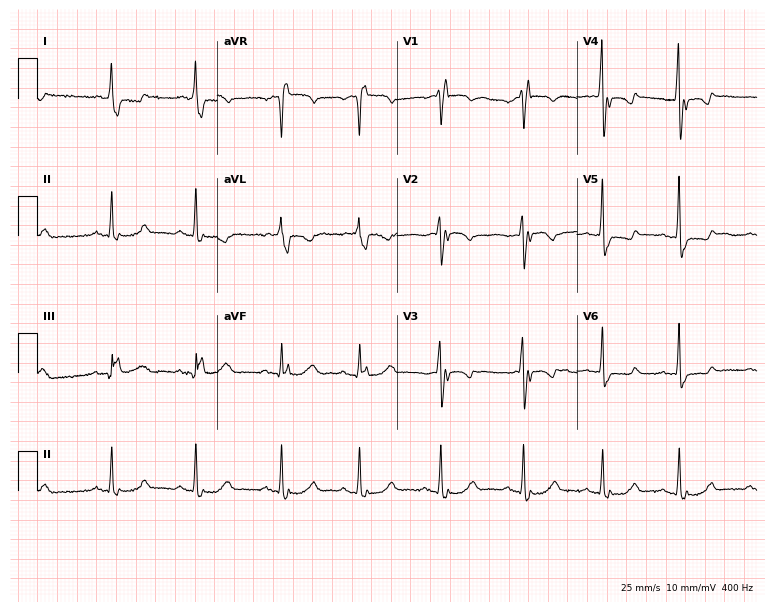
Electrocardiogram, a female patient, 66 years old. Interpretation includes right bundle branch block (RBBB).